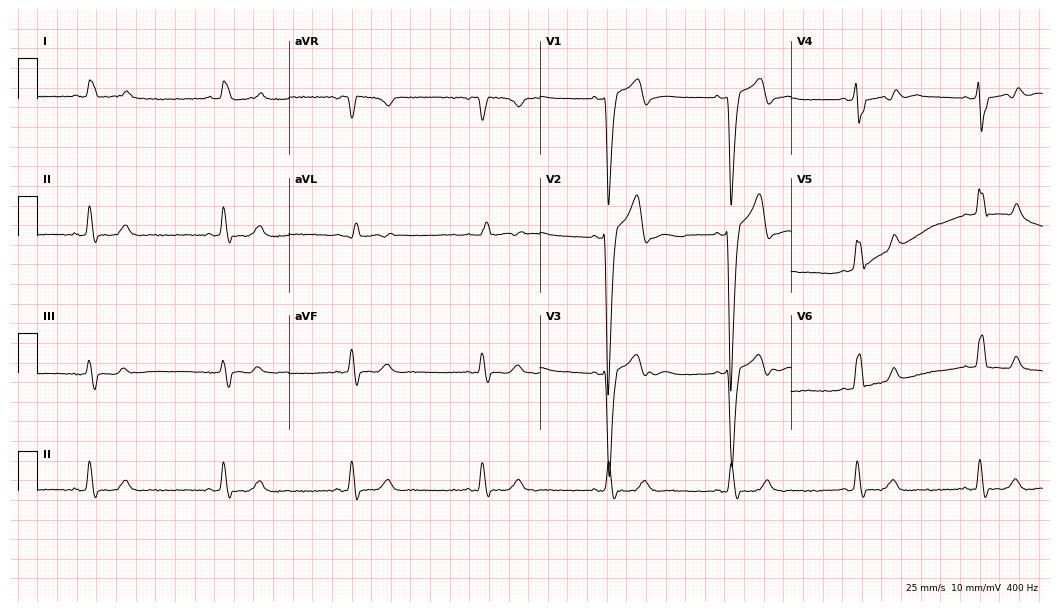
ECG — a male patient, 48 years old. Findings include left bundle branch block, sinus bradycardia (a sinus rate of 50 beats per minute or less).